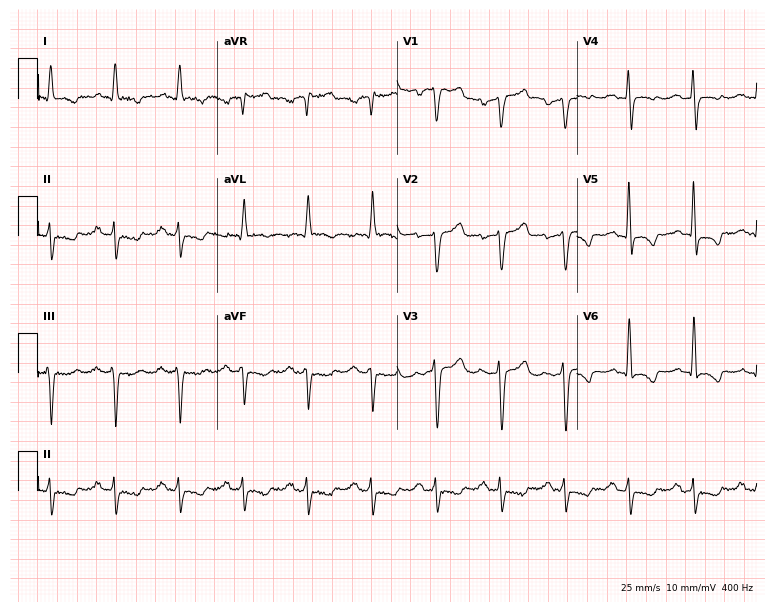
Resting 12-lead electrocardiogram. Patient: a 66-year-old male. None of these six findings is recorded: first-degree AV block, right bundle branch block, left bundle branch block, sinus bradycardia, atrial fibrillation, sinus tachycardia. Findings outside these six are not listed.